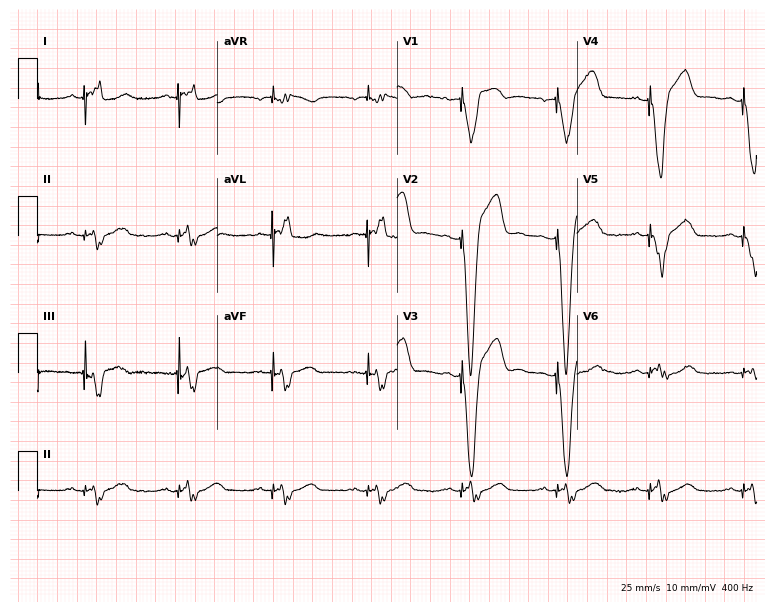
Resting 12-lead electrocardiogram (7.3-second recording at 400 Hz). Patient: an 82-year-old male. None of these six findings is recorded: first-degree AV block, right bundle branch block, left bundle branch block, sinus bradycardia, atrial fibrillation, sinus tachycardia.